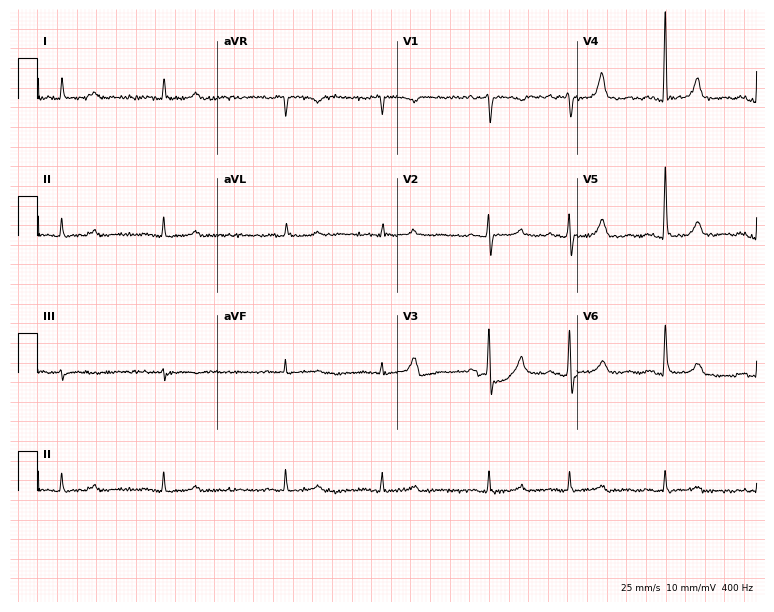
Resting 12-lead electrocardiogram (7.3-second recording at 400 Hz). Patient: a female, 78 years old. None of these six findings is recorded: first-degree AV block, right bundle branch block, left bundle branch block, sinus bradycardia, atrial fibrillation, sinus tachycardia. Only these six findings were labelled.